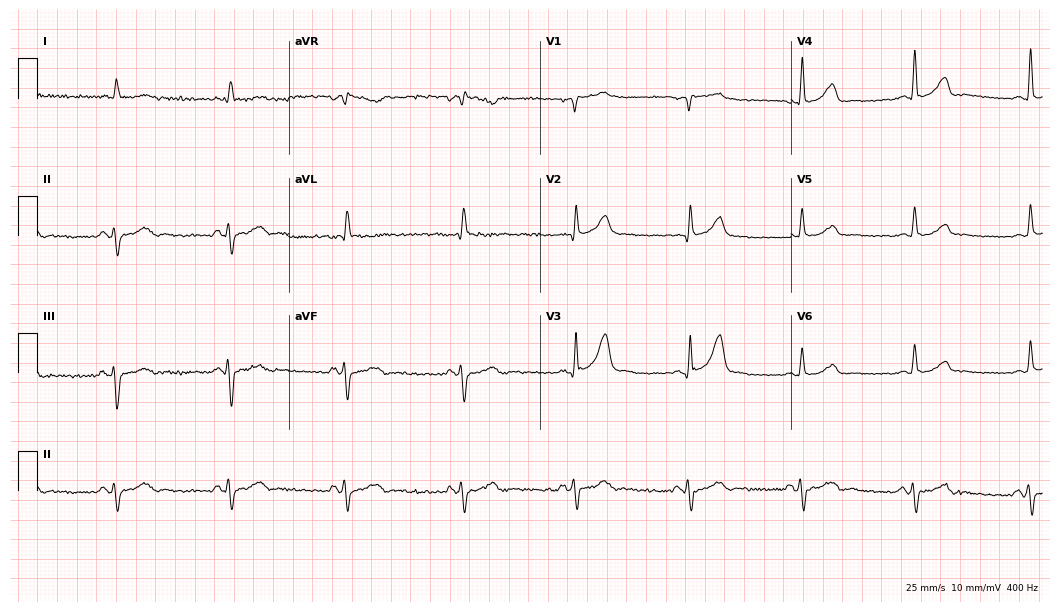
Electrocardiogram, a male, 69 years old. Of the six screened findings (first-degree AV block, right bundle branch block (RBBB), left bundle branch block (LBBB), sinus bradycardia, atrial fibrillation (AF), sinus tachycardia), none is recorded. Only these six findings were labelled.